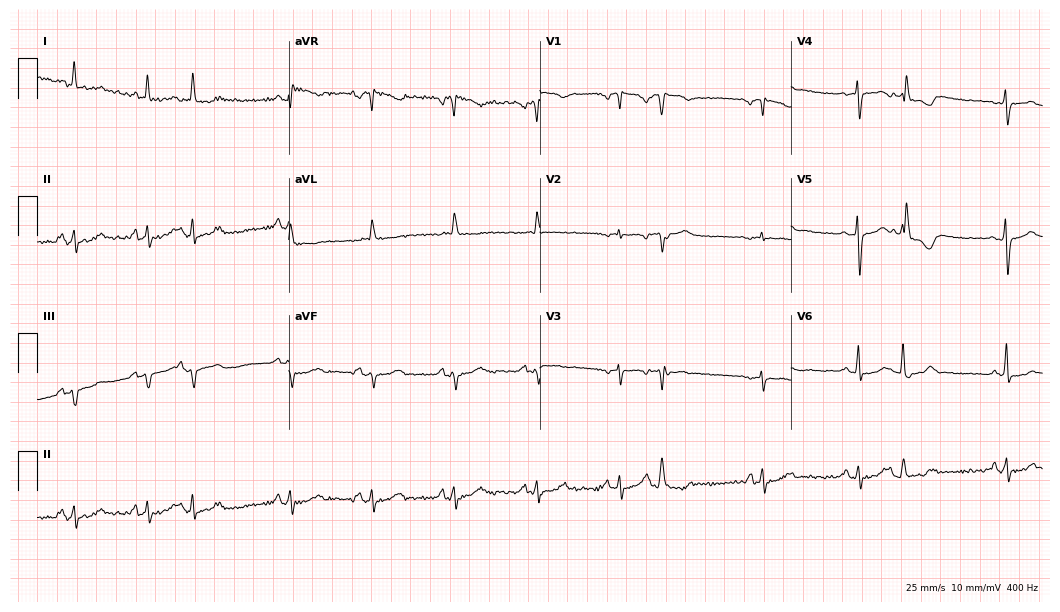
Electrocardiogram, a 69-year-old female. Overall reading on record: normal ECG.